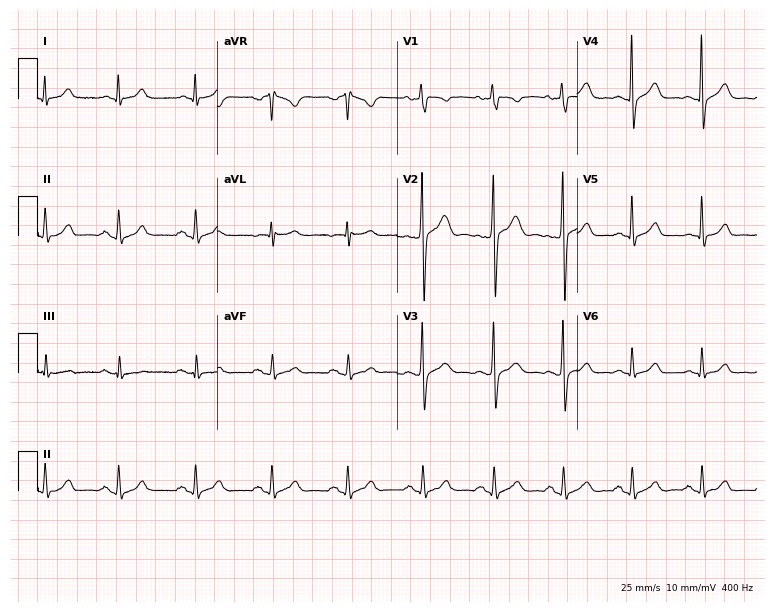
12-lead ECG from a male, 39 years old (7.3-second recording at 400 Hz). No first-degree AV block, right bundle branch block (RBBB), left bundle branch block (LBBB), sinus bradycardia, atrial fibrillation (AF) or sinus tachycardia recorded for this tracing.